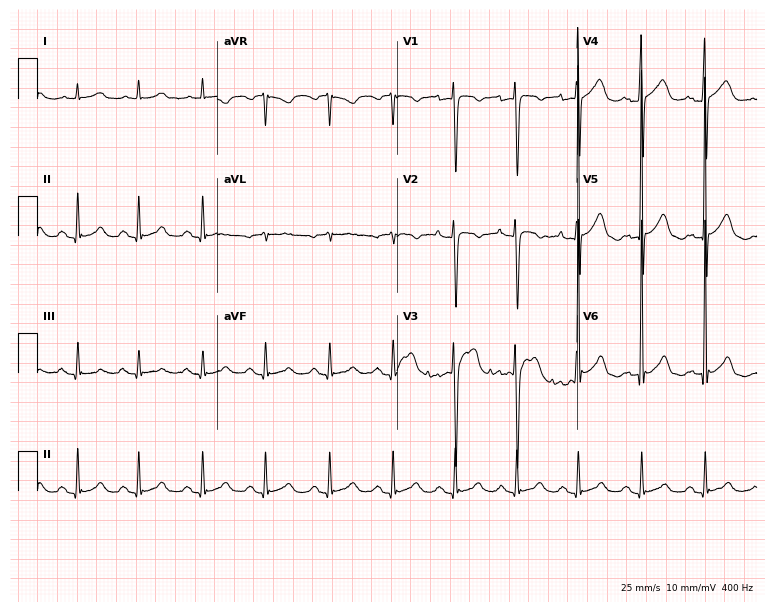
12-lead ECG (7.3-second recording at 400 Hz) from a 67-year-old female patient. Labelled as a normal ECG.